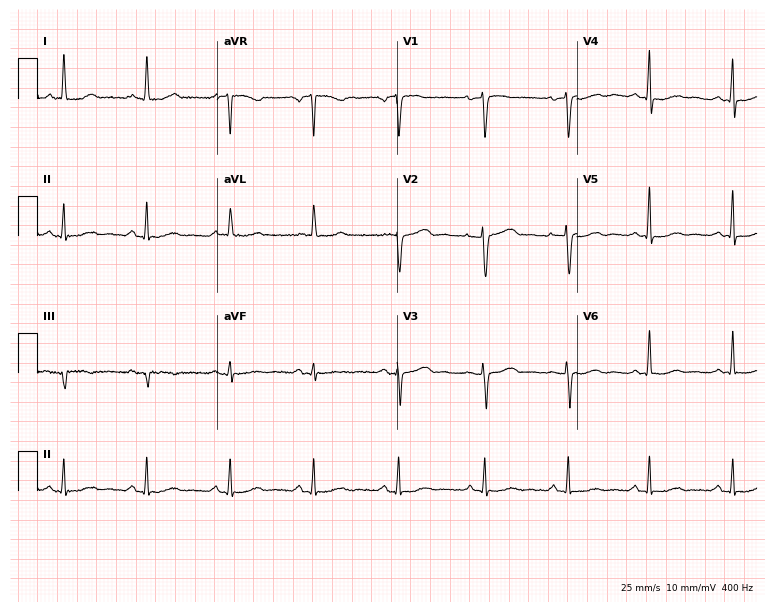
Resting 12-lead electrocardiogram (7.3-second recording at 400 Hz). Patient: a woman, 53 years old. None of these six findings is recorded: first-degree AV block, right bundle branch block, left bundle branch block, sinus bradycardia, atrial fibrillation, sinus tachycardia. Findings outside these six are not listed.